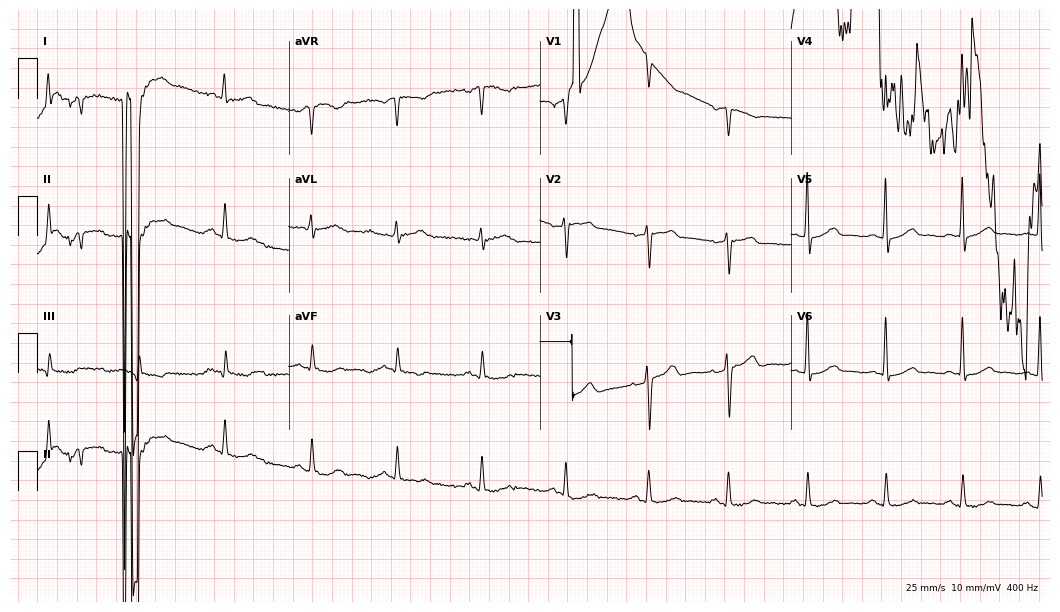
Electrocardiogram, a 69-year-old male patient. Of the six screened findings (first-degree AV block, right bundle branch block (RBBB), left bundle branch block (LBBB), sinus bradycardia, atrial fibrillation (AF), sinus tachycardia), none is recorded.